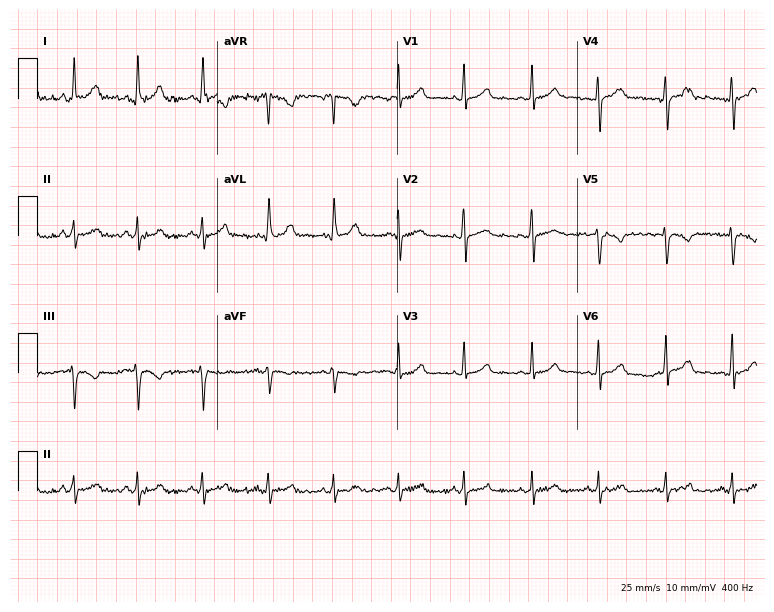
Standard 12-lead ECG recorded from a 27-year-old woman. Read as a normal ECG.